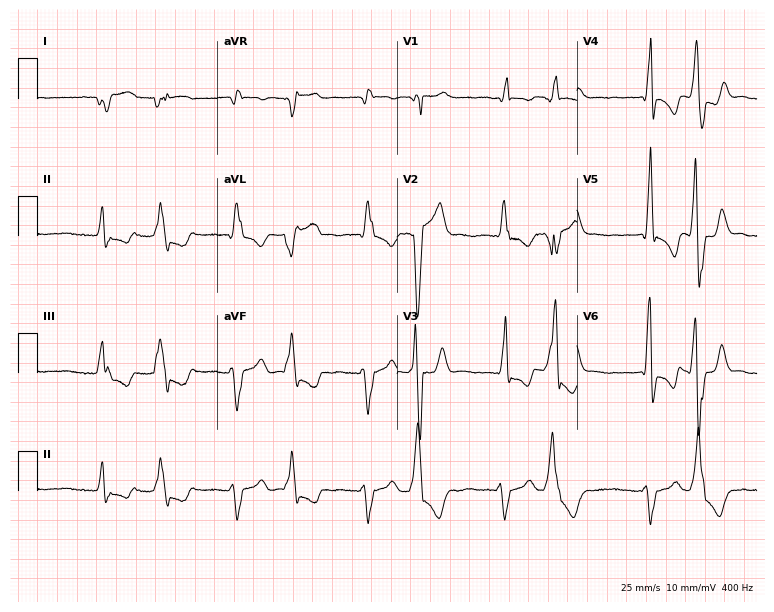
Standard 12-lead ECG recorded from a male patient, 70 years old (7.3-second recording at 400 Hz). The tracing shows right bundle branch block (RBBB).